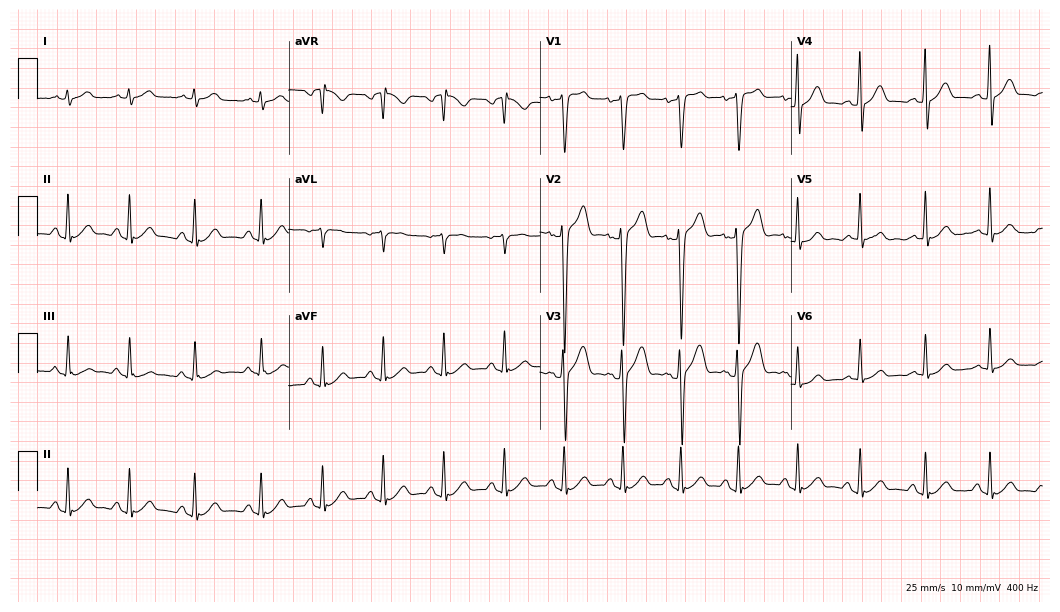
12-lead ECG from a male patient, 26 years old. Labelled as a normal ECG.